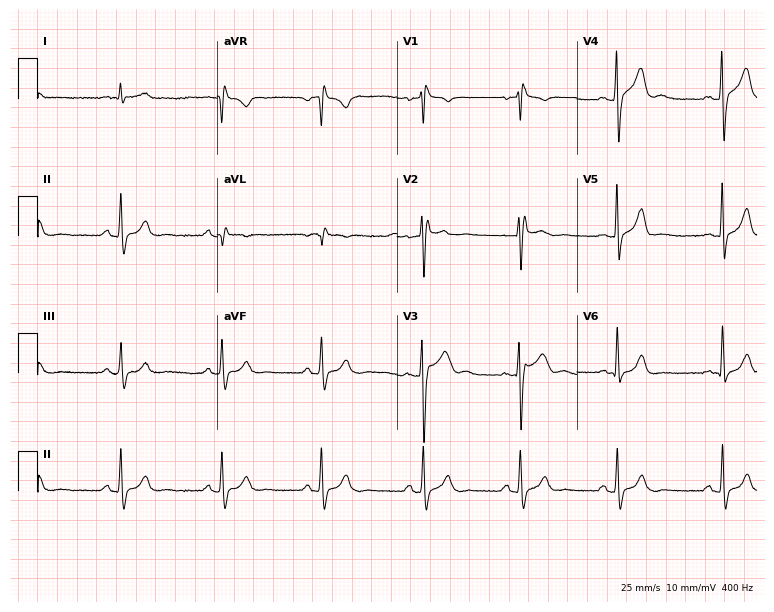
Resting 12-lead electrocardiogram (7.3-second recording at 400 Hz). Patient: a 27-year-old woman. Read as a normal ECG.